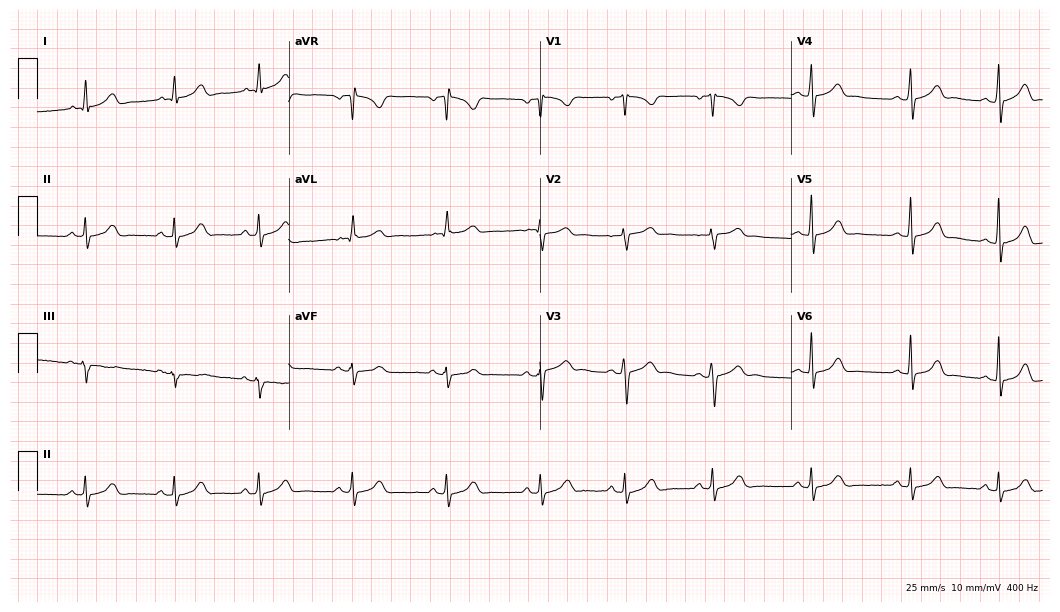
Standard 12-lead ECG recorded from a 21-year-old woman. Read as a normal ECG.